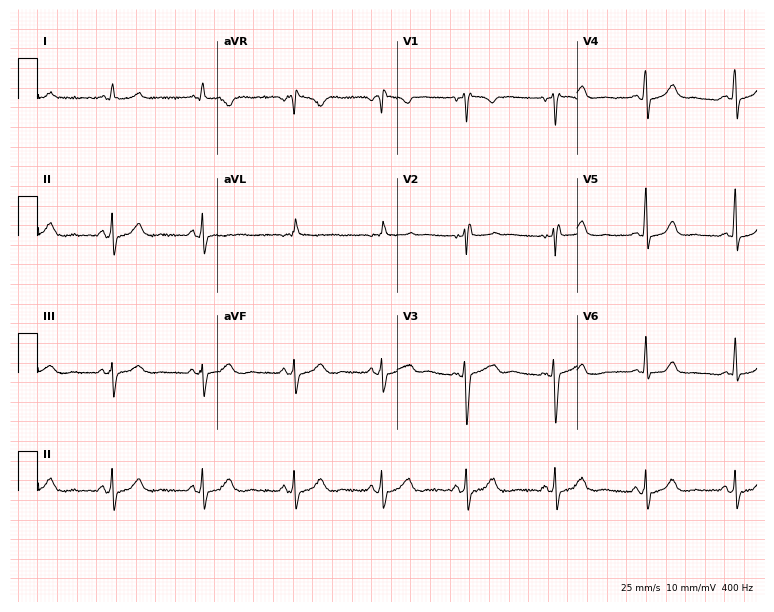
Resting 12-lead electrocardiogram. Patient: a 54-year-old woman. Read as a normal ECG.